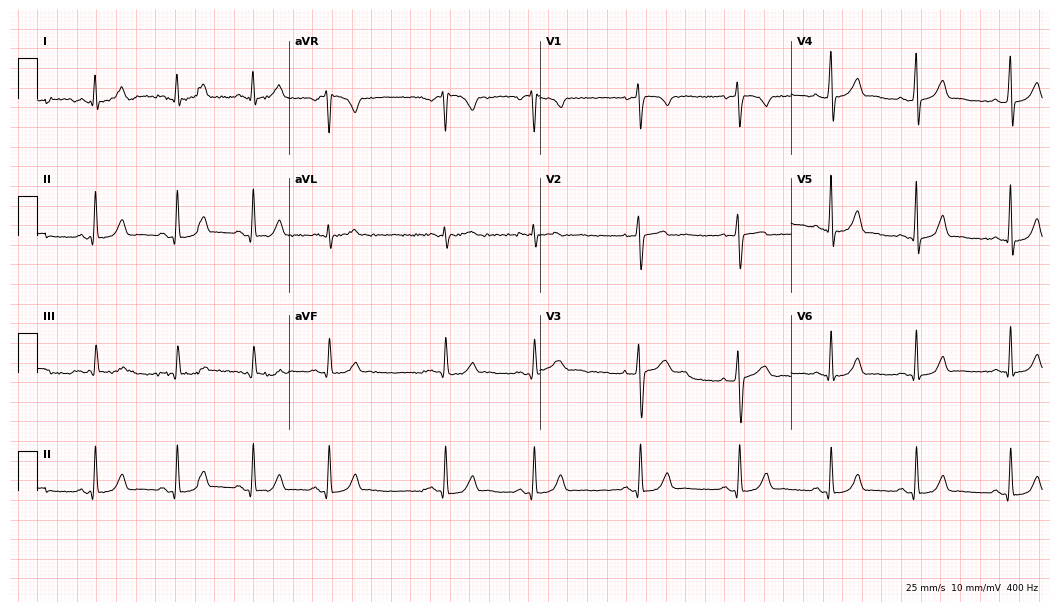
12-lead ECG (10.2-second recording at 400 Hz) from a woman, 27 years old. Screened for six findings — first-degree AV block, right bundle branch block (RBBB), left bundle branch block (LBBB), sinus bradycardia, atrial fibrillation (AF), sinus tachycardia — none is recorded. Only these six findings were labelled.